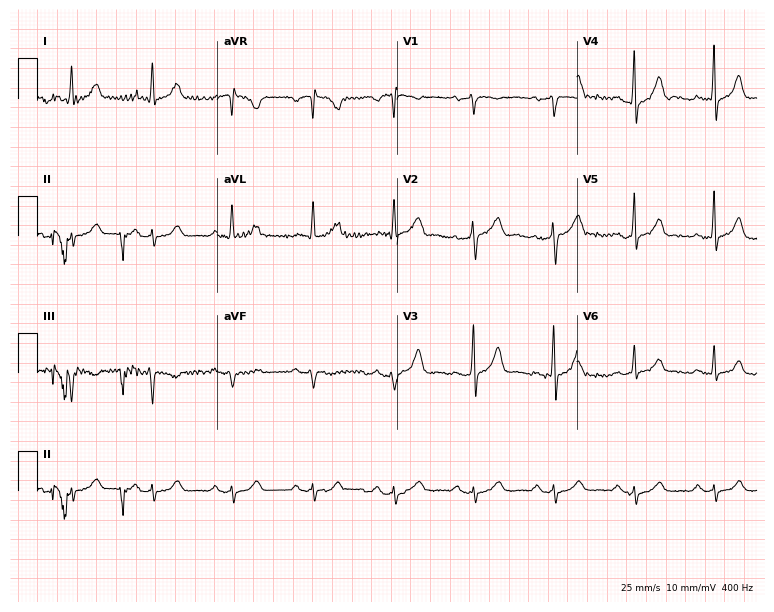
ECG (7.3-second recording at 400 Hz) — a 67-year-old male patient. Screened for six findings — first-degree AV block, right bundle branch block (RBBB), left bundle branch block (LBBB), sinus bradycardia, atrial fibrillation (AF), sinus tachycardia — none is recorded. Findings outside these six are not listed.